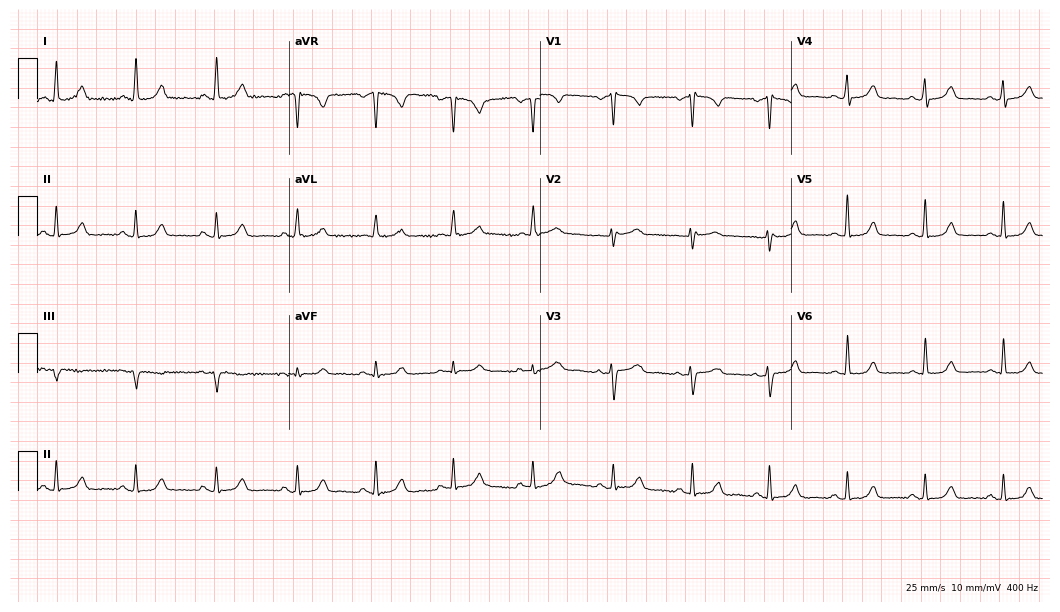
12-lead ECG from a 66-year-old woman (10.2-second recording at 400 Hz). No first-degree AV block, right bundle branch block, left bundle branch block, sinus bradycardia, atrial fibrillation or sinus tachycardia recorded for this tracing. Other findings, if any, are not listed.